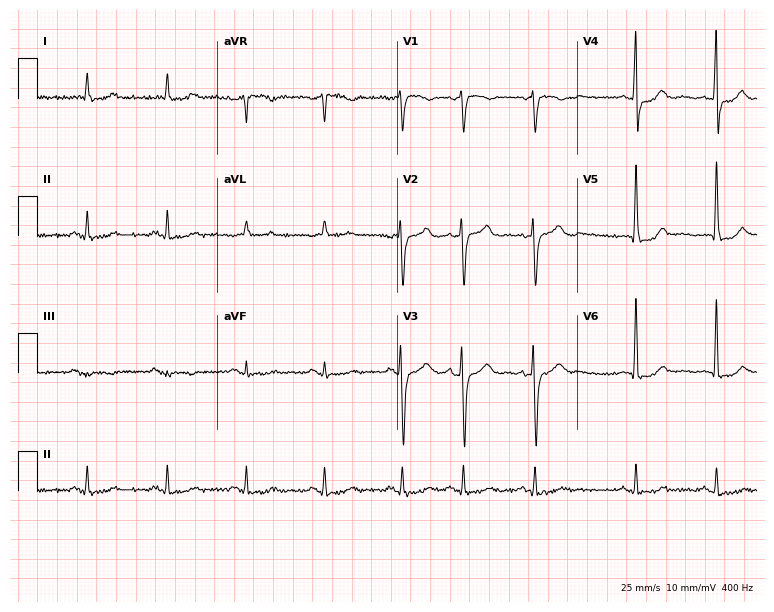
Electrocardiogram, an 84-year-old man. Overall reading on record: normal ECG.